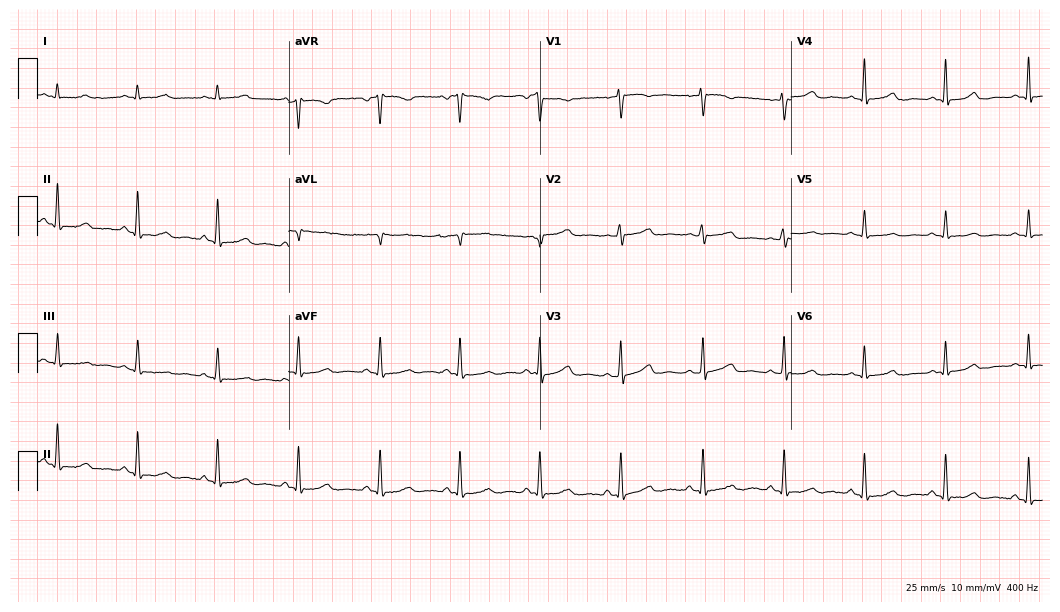
Standard 12-lead ECG recorded from a 54-year-old female. None of these six findings is recorded: first-degree AV block, right bundle branch block (RBBB), left bundle branch block (LBBB), sinus bradycardia, atrial fibrillation (AF), sinus tachycardia.